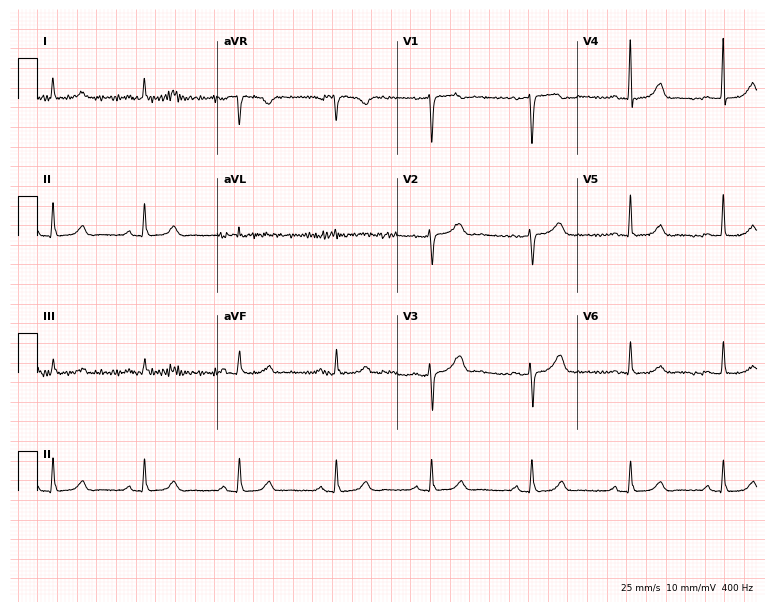
Standard 12-lead ECG recorded from a 43-year-old female patient (7.3-second recording at 400 Hz). None of these six findings is recorded: first-degree AV block, right bundle branch block (RBBB), left bundle branch block (LBBB), sinus bradycardia, atrial fibrillation (AF), sinus tachycardia.